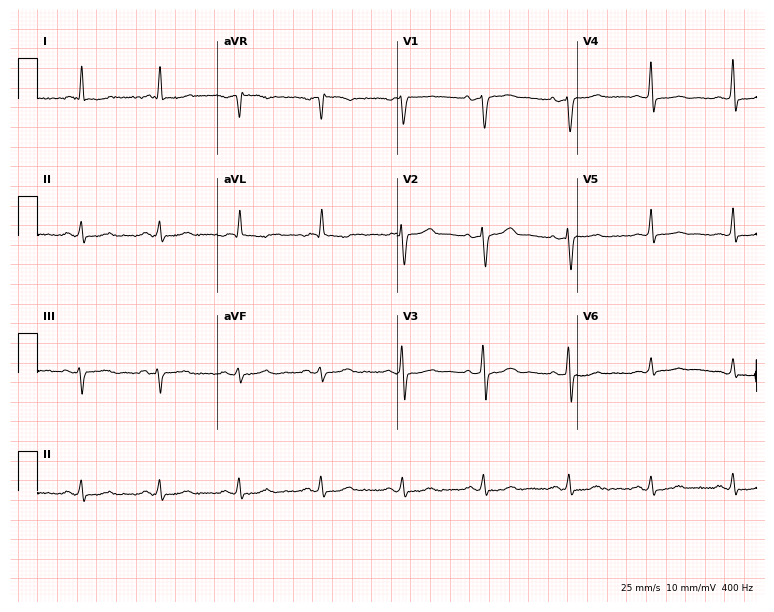
Standard 12-lead ECG recorded from a 62-year-old woman. None of these six findings is recorded: first-degree AV block, right bundle branch block, left bundle branch block, sinus bradycardia, atrial fibrillation, sinus tachycardia. Findings outside these six are not listed.